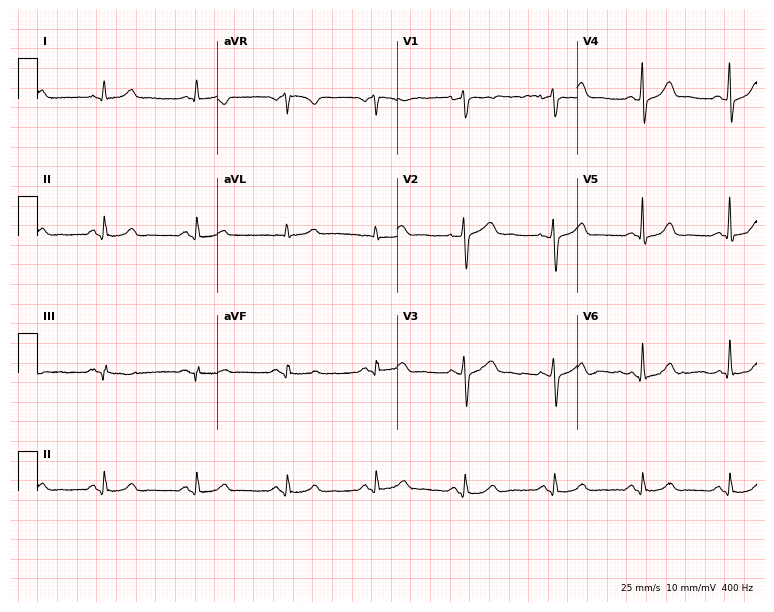
Standard 12-lead ECG recorded from a 56-year-old female. Read as a normal ECG.